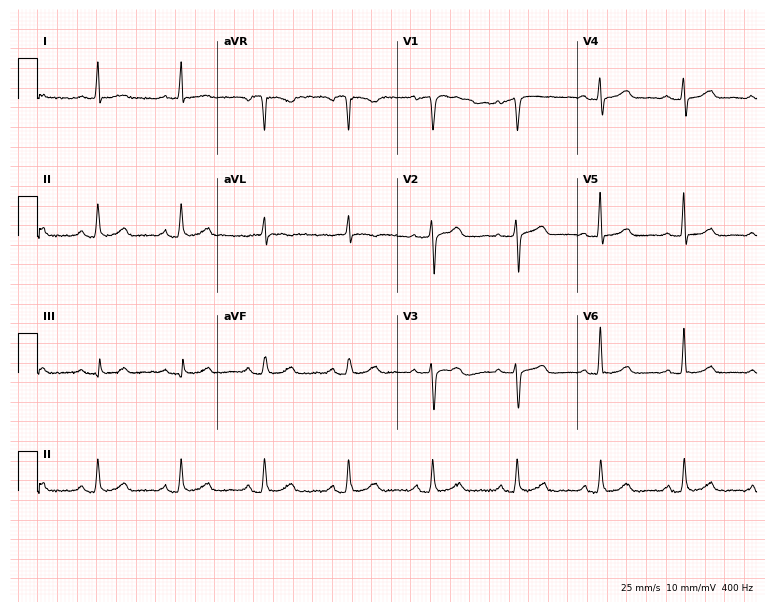
Electrocardiogram, a woman, 53 years old. Overall reading on record: normal ECG.